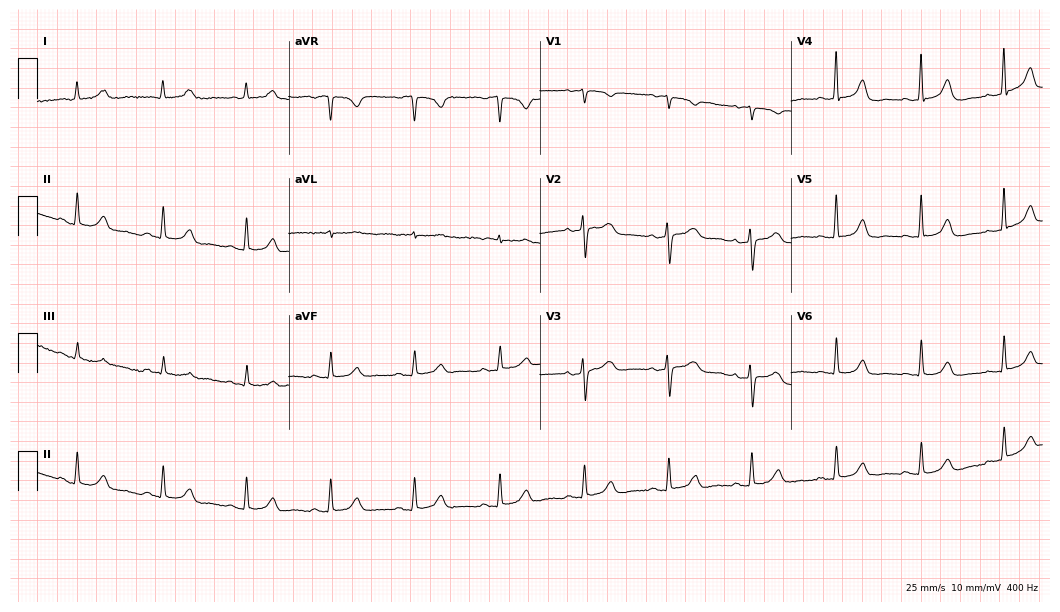
Electrocardiogram, a female patient, 78 years old. Overall reading on record: normal ECG.